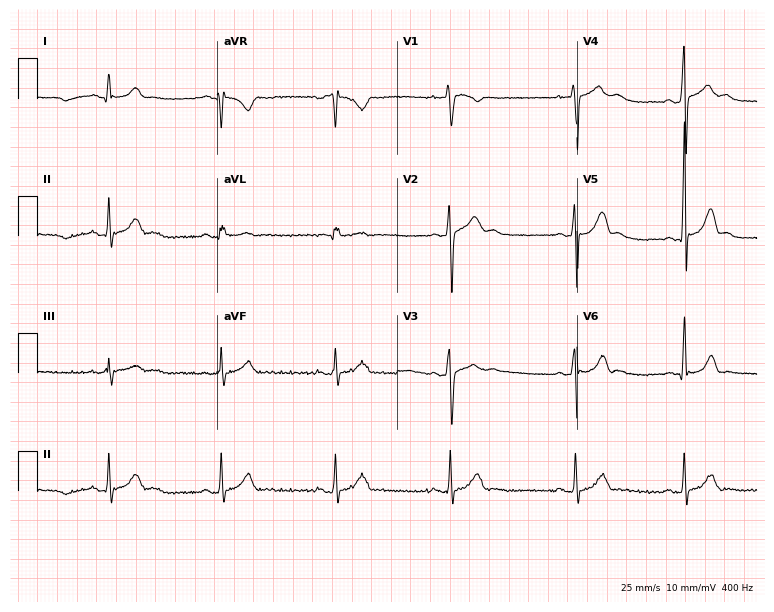
Standard 12-lead ECG recorded from a 25-year-old male (7.3-second recording at 400 Hz). Read as a normal ECG.